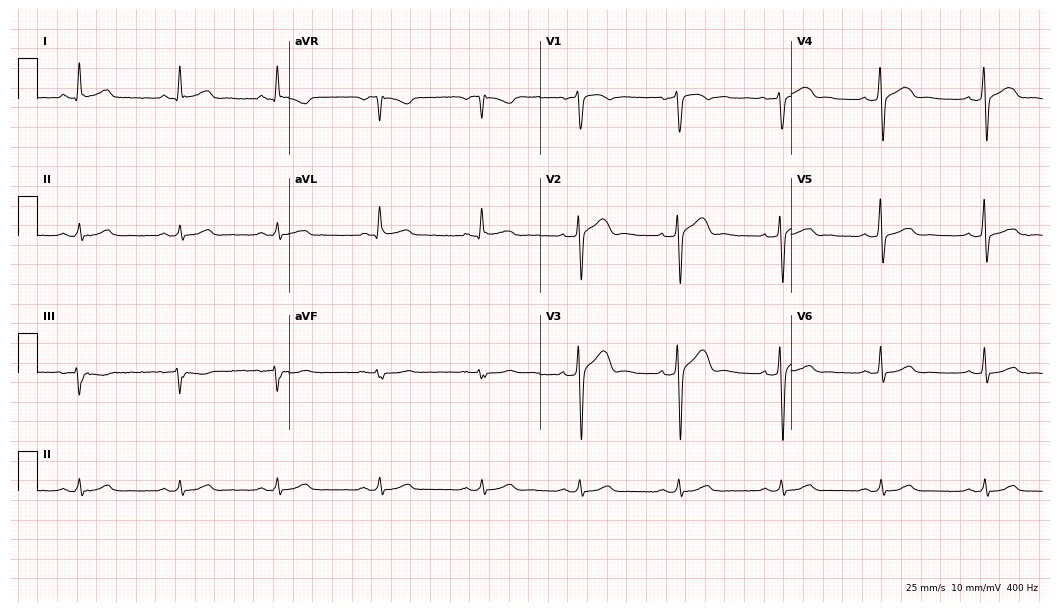
Resting 12-lead electrocardiogram. Patient: a man, 46 years old. None of these six findings is recorded: first-degree AV block, right bundle branch block, left bundle branch block, sinus bradycardia, atrial fibrillation, sinus tachycardia. Findings outside these six are not listed.